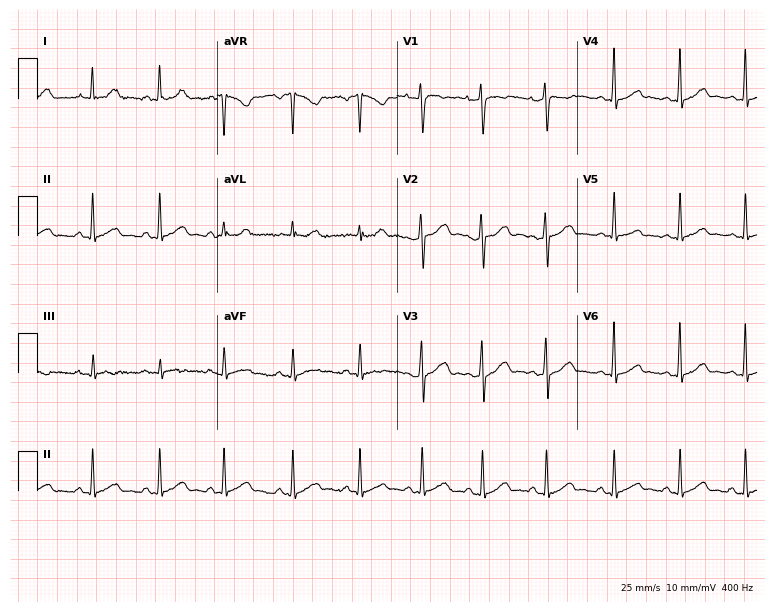
Electrocardiogram (7.3-second recording at 400 Hz), a 25-year-old woman. Overall reading on record: normal ECG.